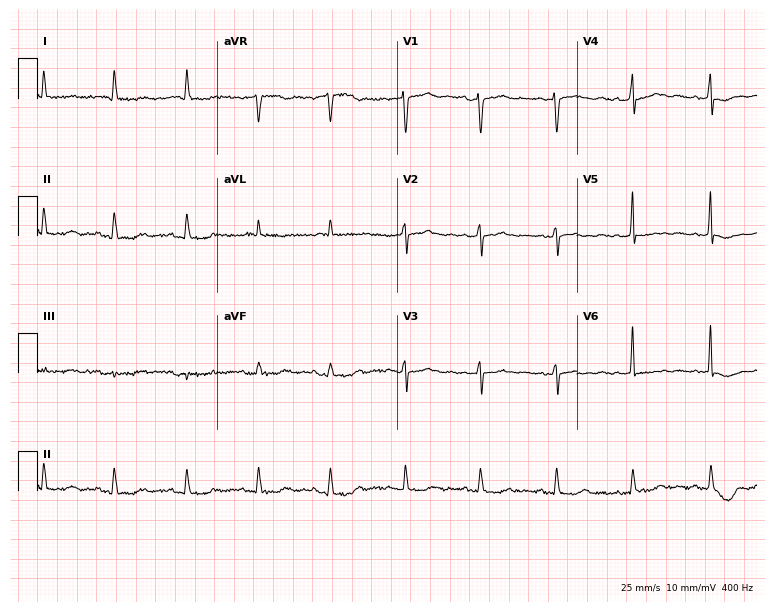
Electrocardiogram (7.3-second recording at 400 Hz), a female, 84 years old. Of the six screened findings (first-degree AV block, right bundle branch block, left bundle branch block, sinus bradycardia, atrial fibrillation, sinus tachycardia), none is recorded.